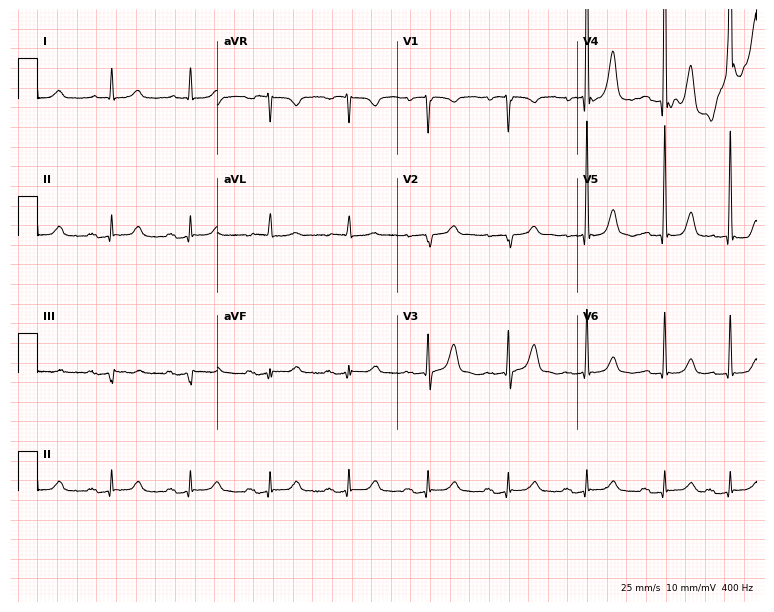
ECG — a female, 77 years old. Screened for six findings — first-degree AV block, right bundle branch block (RBBB), left bundle branch block (LBBB), sinus bradycardia, atrial fibrillation (AF), sinus tachycardia — none is recorded.